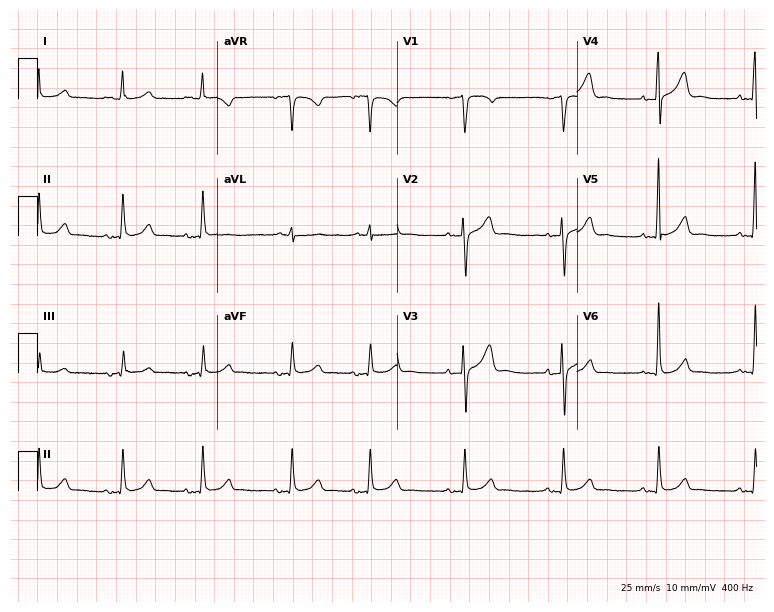
12-lead ECG from a male, 81 years old. Recorded interpretation: within normal limits.